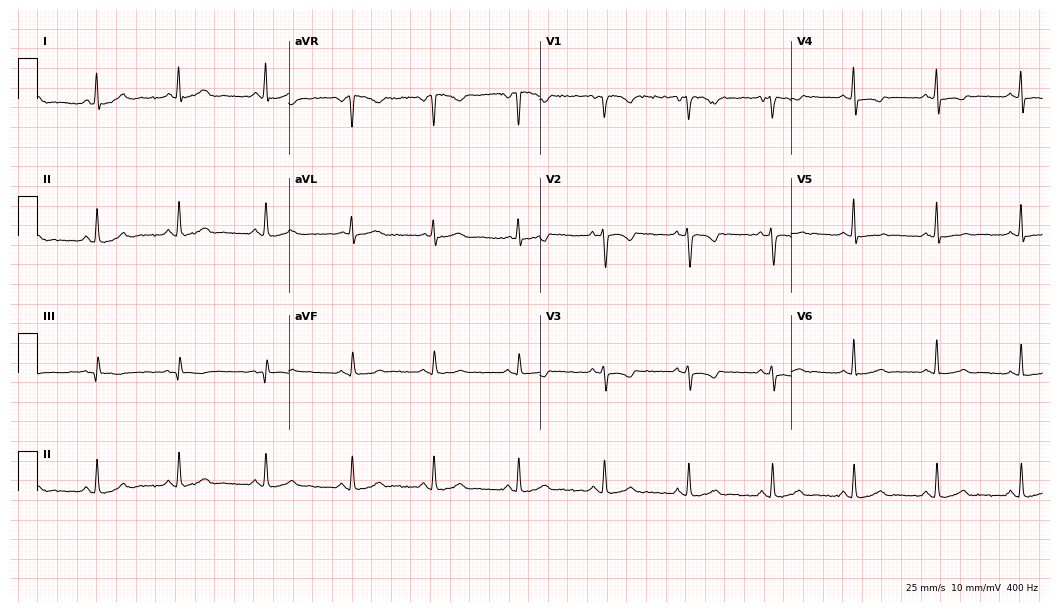
12-lead ECG (10.2-second recording at 400 Hz) from a woman, 46 years old. Screened for six findings — first-degree AV block, right bundle branch block, left bundle branch block, sinus bradycardia, atrial fibrillation, sinus tachycardia — none is recorded.